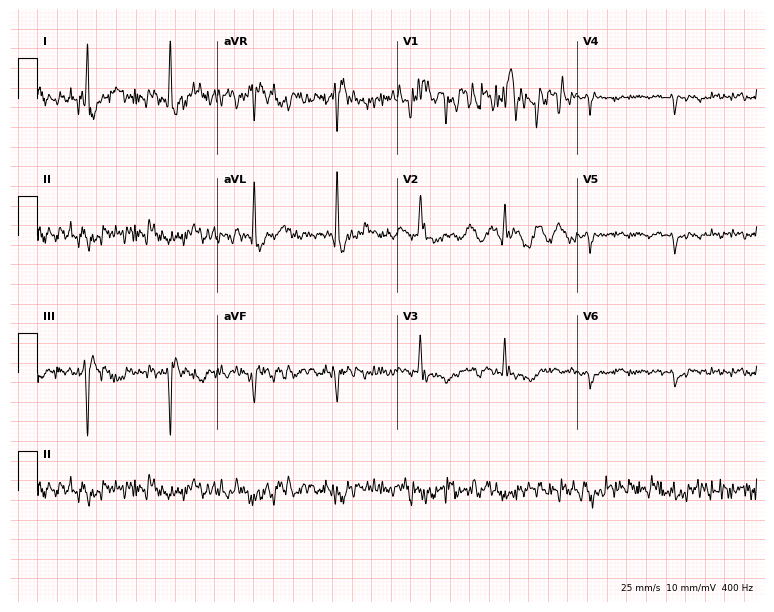
ECG — a 63-year-old female. Screened for six findings — first-degree AV block, right bundle branch block, left bundle branch block, sinus bradycardia, atrial fibrillation, sinus tachycardia — none is recorded.